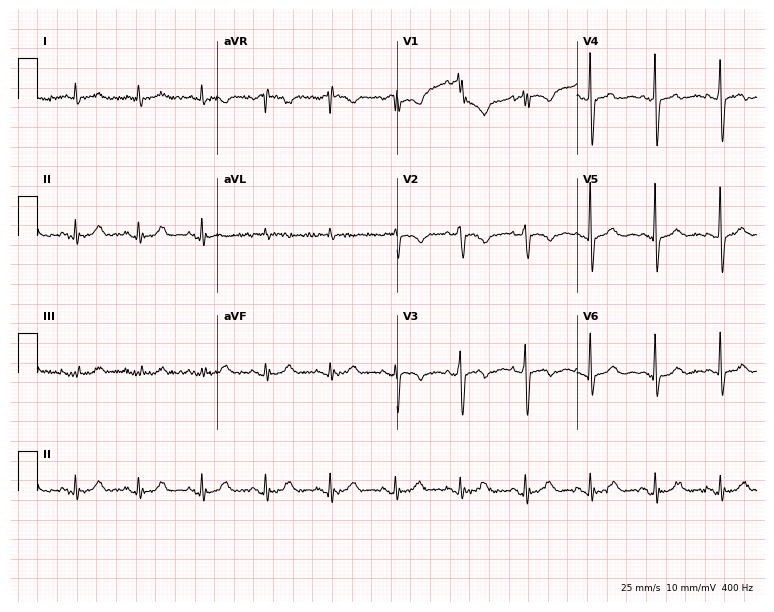
Standard 12-lead ECG recorded from a 78-year-old man. None of these six findings is recorded: first-degree AV block, right bundle branch block (RBBB), left bundle branch block (LBBB), sinus bradycardia, atrial fibrillation (AF), sinus tachycardia.